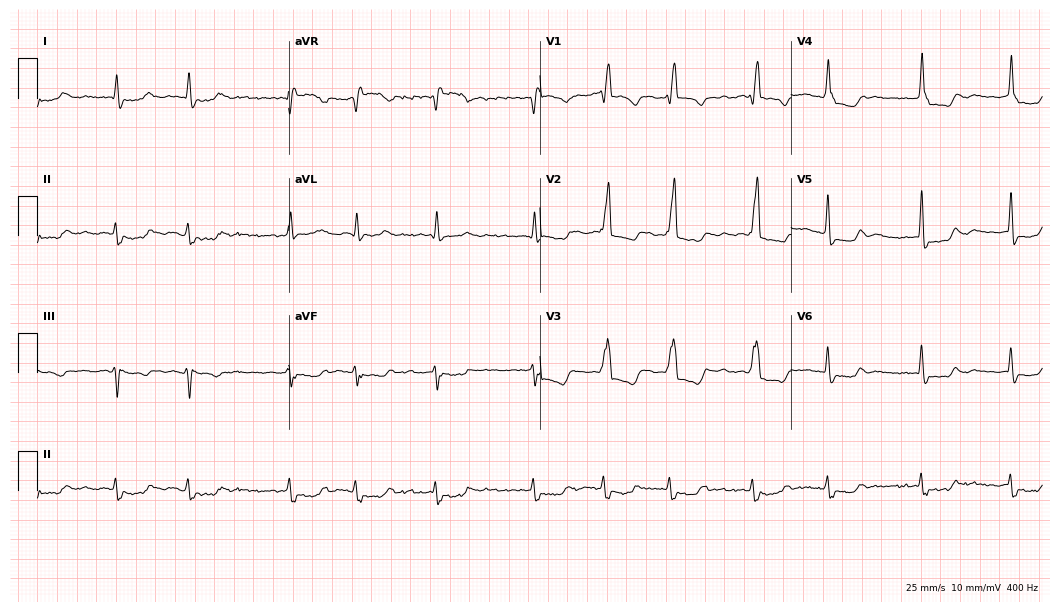
Standard 12-lead ECG recorded from a 78-year-old female. The tracing shows right bundle branch block (RBBB), atrial fibrillation (AF).